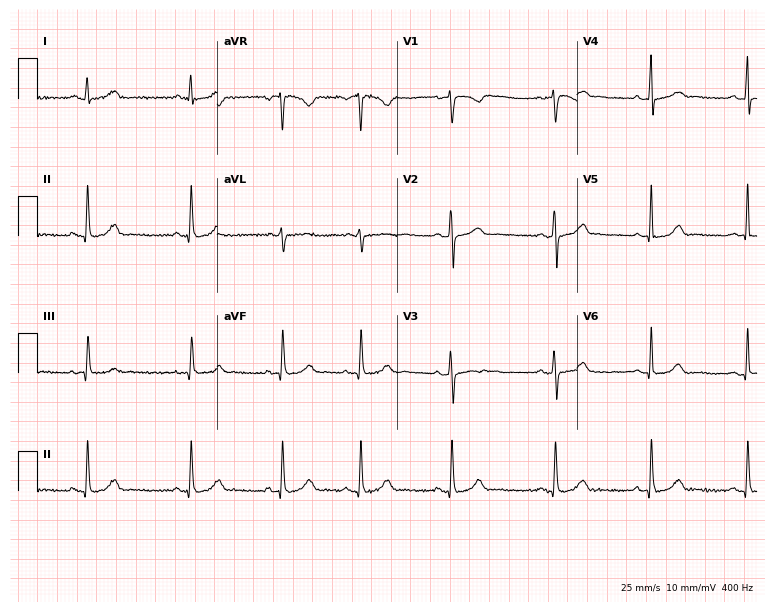
12-lead ECG (7.3-second recording at 400 Hz) from a 29-year-old female patient. Labelled as a normal ECG.